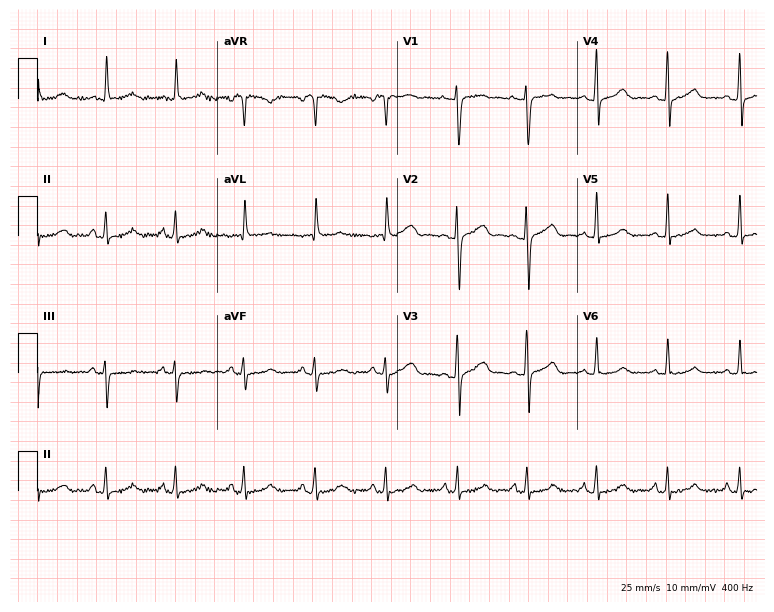
ECG — a 57-year-old female patient. Screened for six findings — first-degree AV block, right bundle branch block (RBBB), left bundle branch block (LBBB), sinus bradycardia, atrial fibrillation (AF), sinus tachycardia — none is recorded.